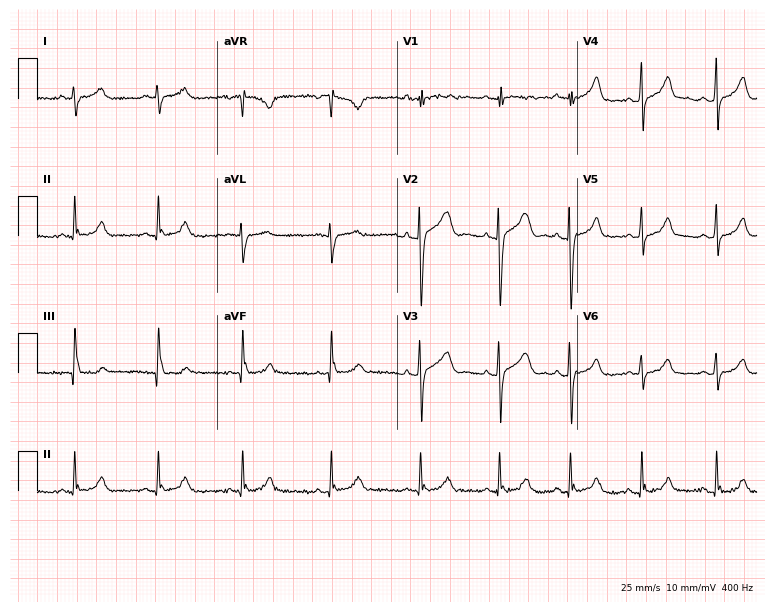
Electrocardiogram, a 26-year-old female. Of the six screened findings (first-degree AV block, right bundle branch block, left bundle branch block, sinus bradycardia, atrial fibrillation, sinus tachycardia), none is recorded. Findings outside these six are not listed.